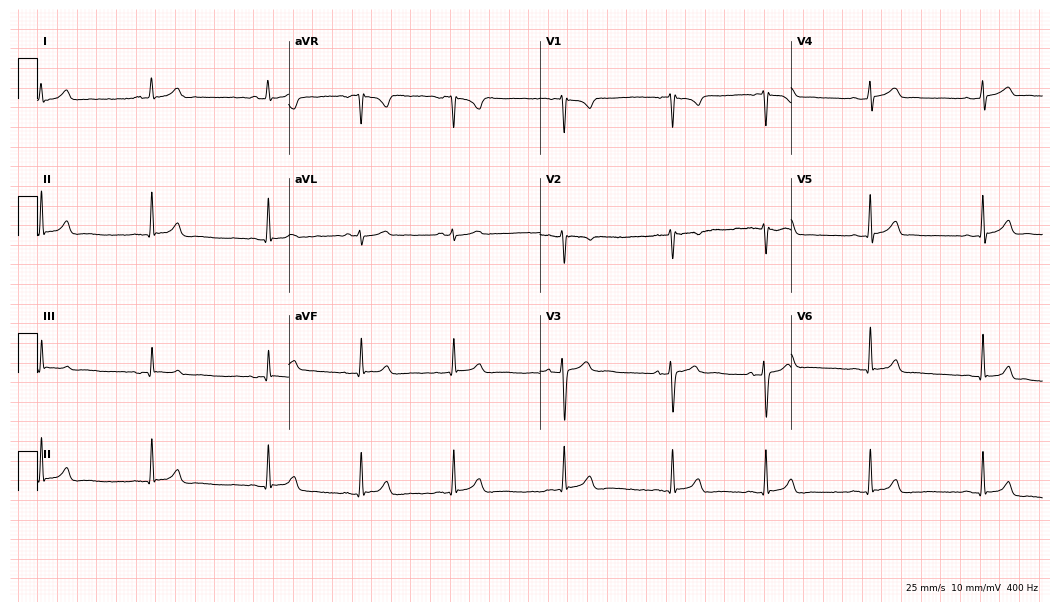
12-lead ECG (10.2-second recording at 400 Hz) from a woman, 18 years old. Labelled as a normal ECG.